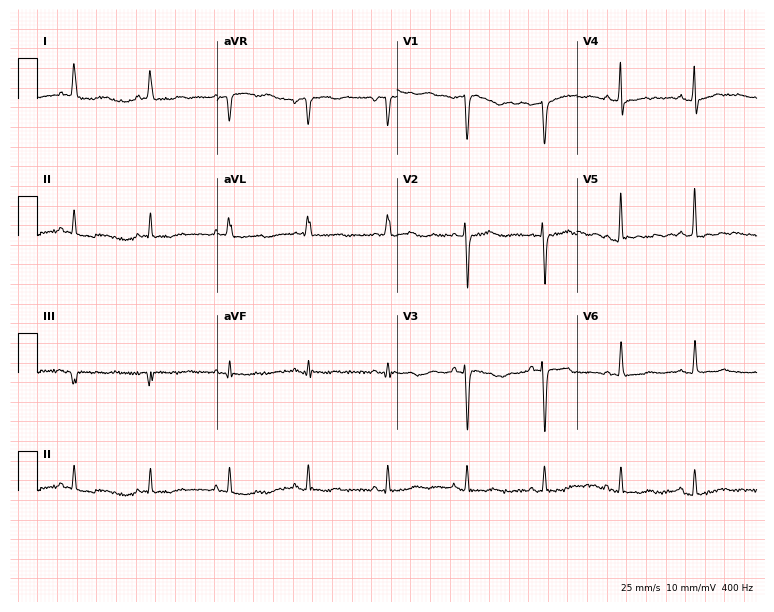
Electrocardiogram, an 85-year-old female. Of the six screened findings (first-degree AV block, right bundle branch block, left bundle branch block, sinus bradycardia, atrial fibrillation, sinus tachycardia), none is recorded.